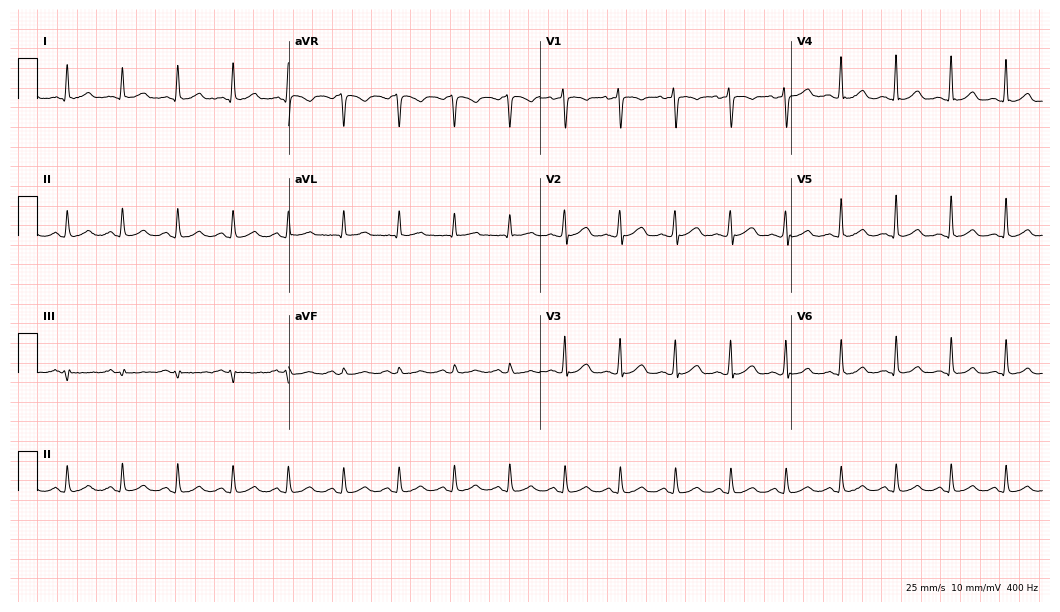
12-lead ECG from a female patient, 41 years old. Shows sinus tachycardia (a sinus rate of 100 beats per minute or more).